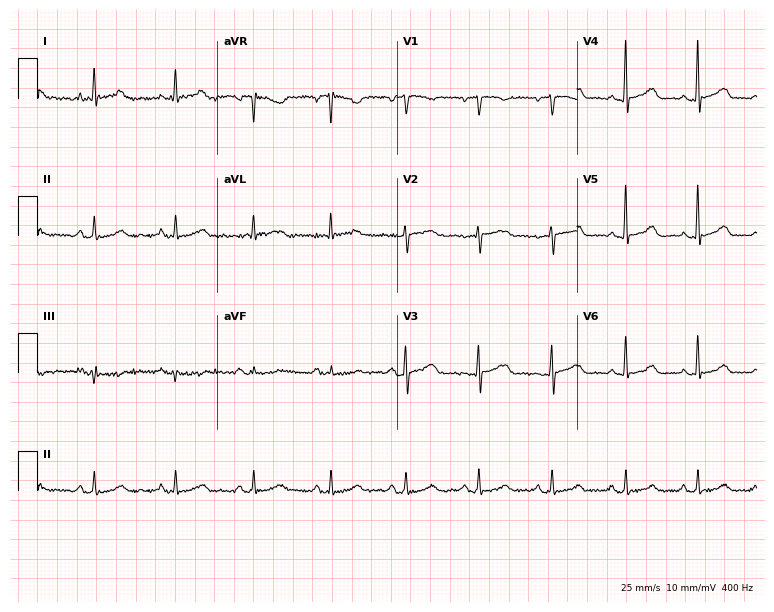
ECG (7.3-second recording at 400 Hz) — a female, 68 years old. Labelled as a normal ECG.